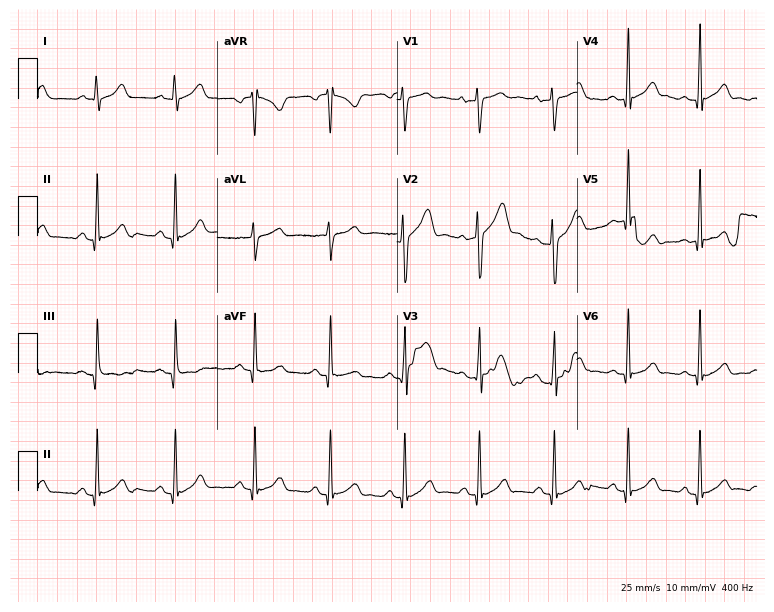
12-lead ECG from a 28-year-old male patient. Recorded interpretation: within normal limits.